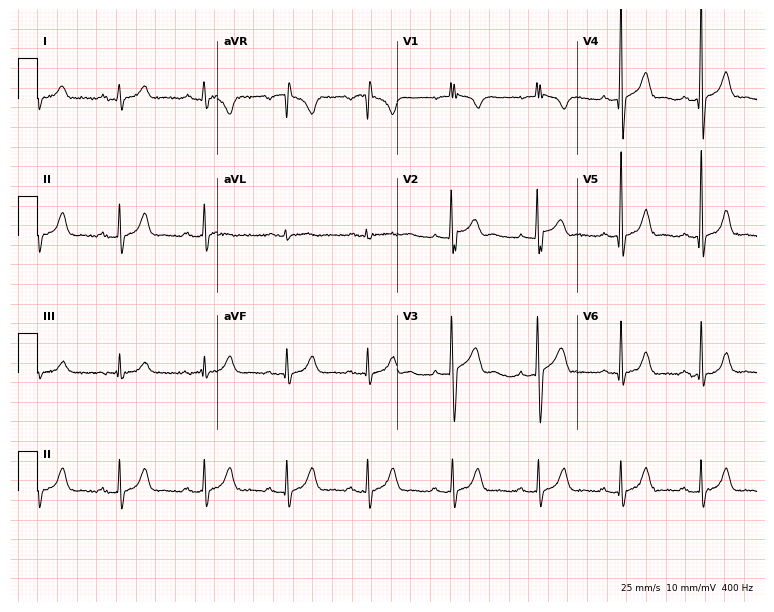
Standard 12-lead ECG recorded from a 23-year-old male patient (7.3-second recording at 400 Hz). None of these six findings is recorded: first-degree AV block, right bundle branch block (RBBB), left bundle branch block (LBBB), sinus bradycardia, atrial fibrillation (AF), sinus tachycardia. Only these six findings were labelled.